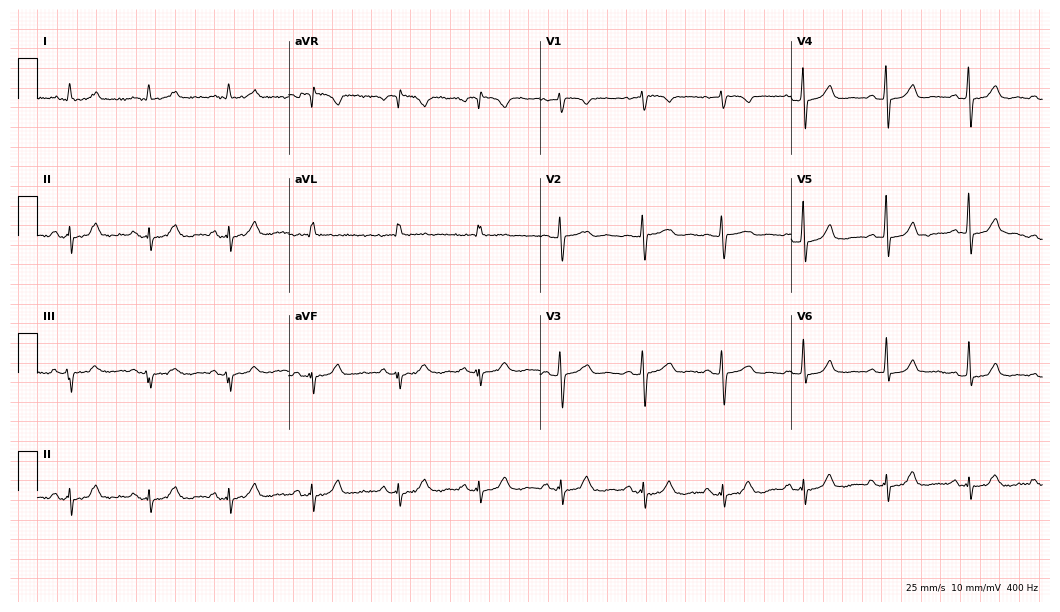
ECG — a woman, 79 years old. Labelled as a normal ECG.